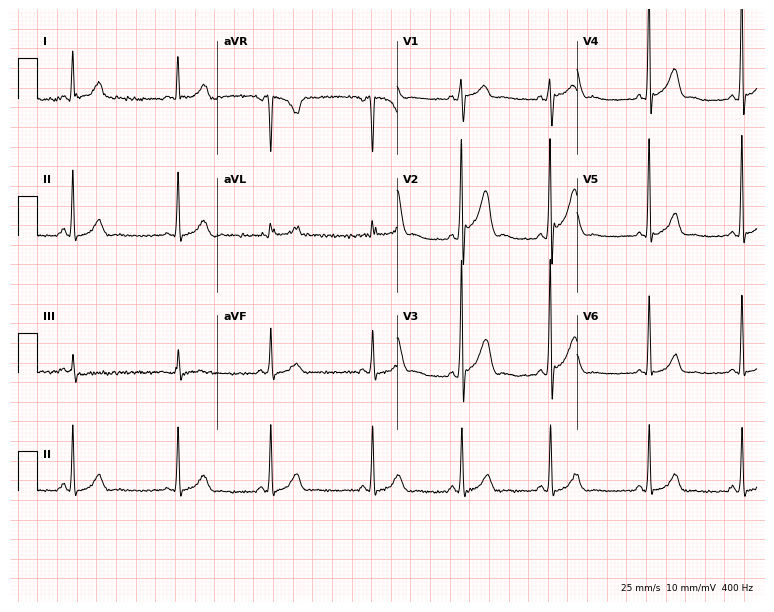
Standard 12-lead ECG recorded from a male patient, 59 years old (7.3-second recording at 400 Hz). Read as a normal ECG.